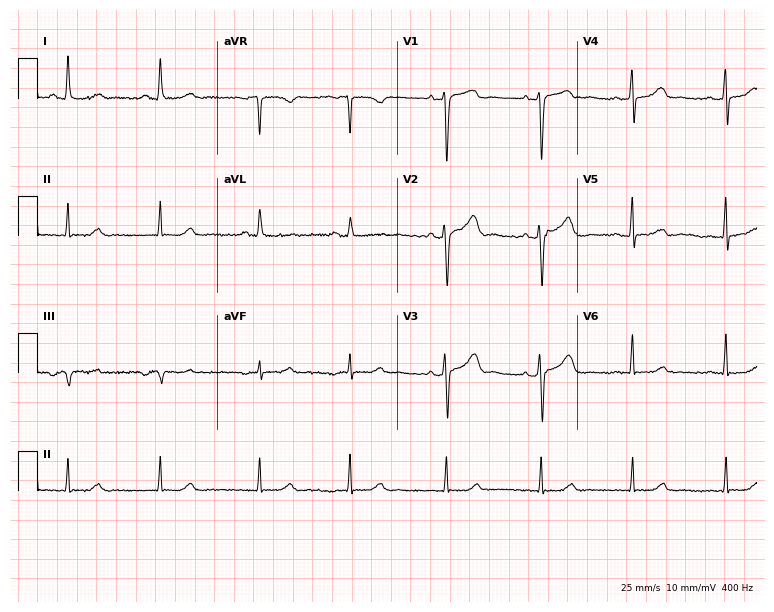
Electrocardiogram, a woman, 31 years old. Of the six screened findings (first-degree AV block, right bundle branch block, left bundle branch block, sinus bradycardia, atrial fibrillation, sinus tachycardia), none is recorded.